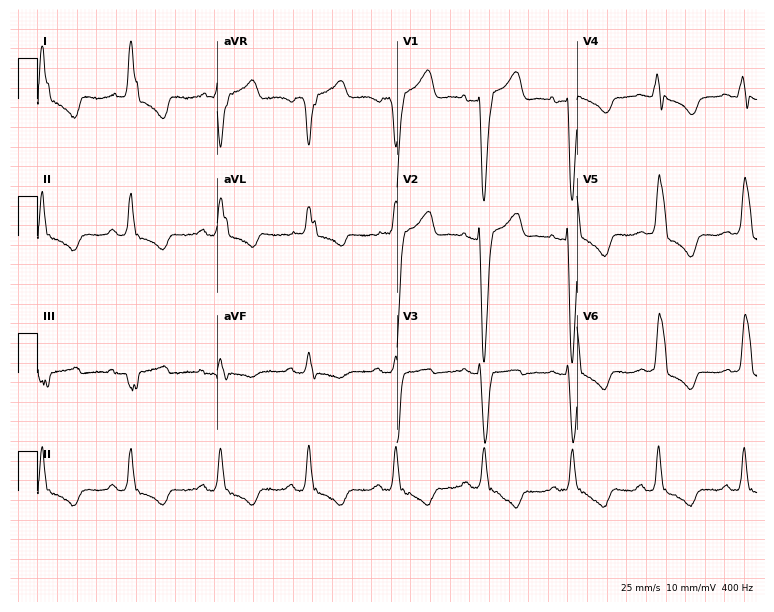
ECG (7.3-second recording at 400 Hz) — a female patient, 74 years old. Findings include left bundle branch block (LBBB).